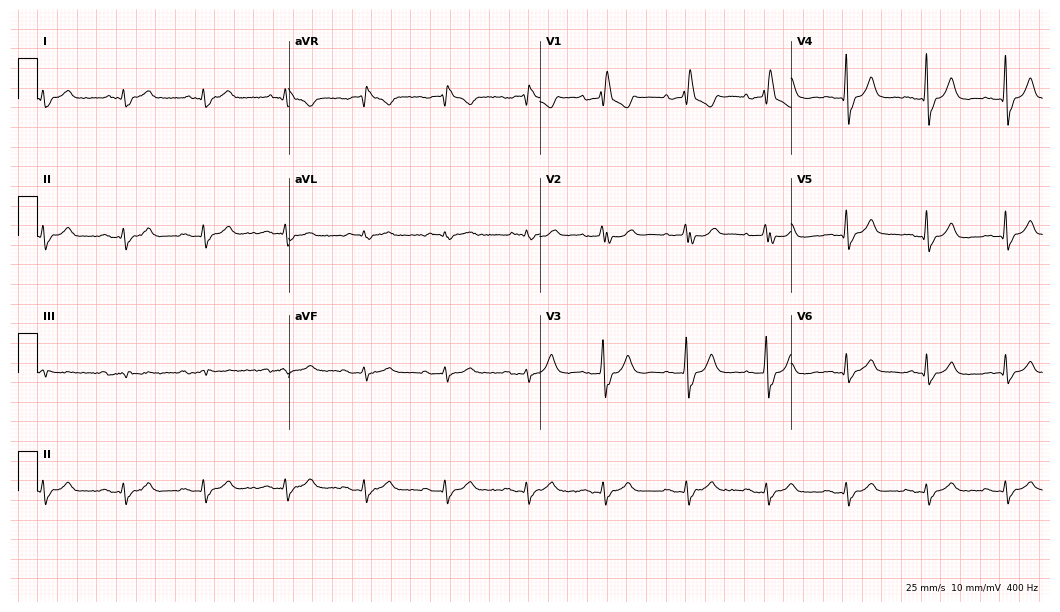
12-lead ECG from a female, 83 years old (10.2-second recording at 400 Hz). Shows right bundle branch block (RBBB).